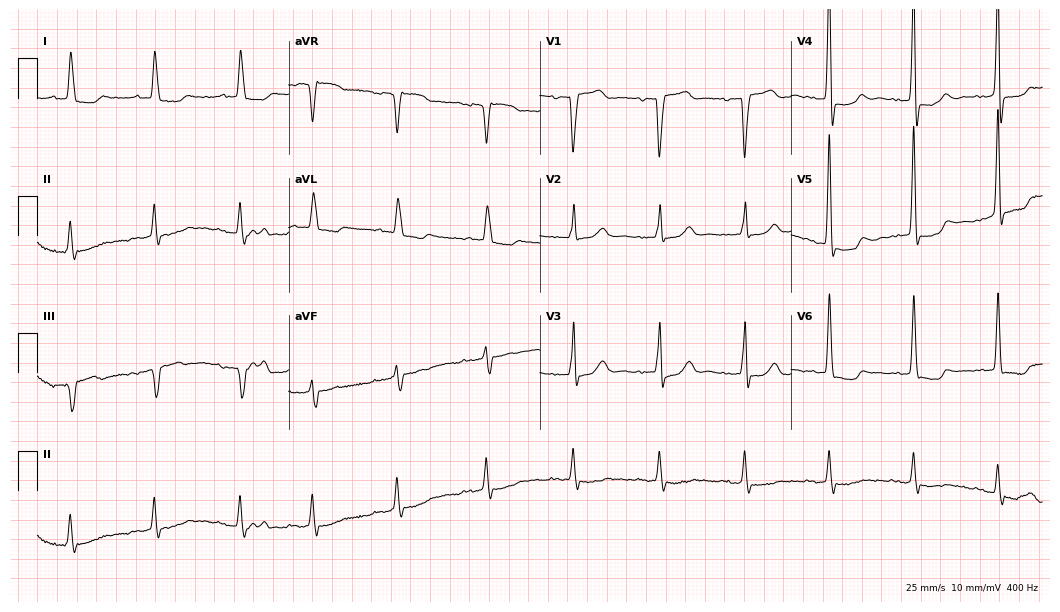
ECG (10.2-second recording at 400 Hz) — an 83-year-old female. Screened for six findings — first-degree AV block, right bundle branch block, left bundle branch block, sinus bradycardia, atrial fibrillation, sinus tachycardia — none is recorded.